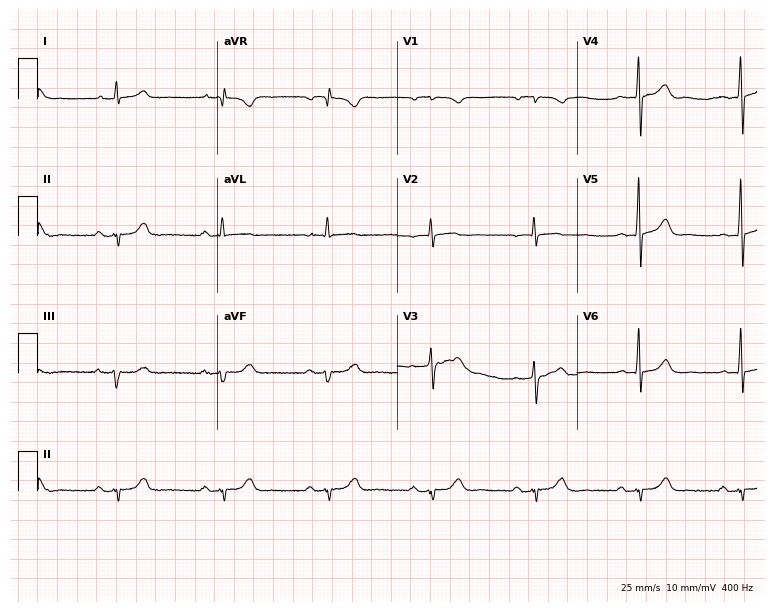
12-lead ECG from a man, 85 years old. No first-degree AV block, right bundle branch block (RBBB), left bundle branch block (LBBB), sinus bradycardia, atrial fibrillation (AF) or sinus tachycardia recorded for this tracing.